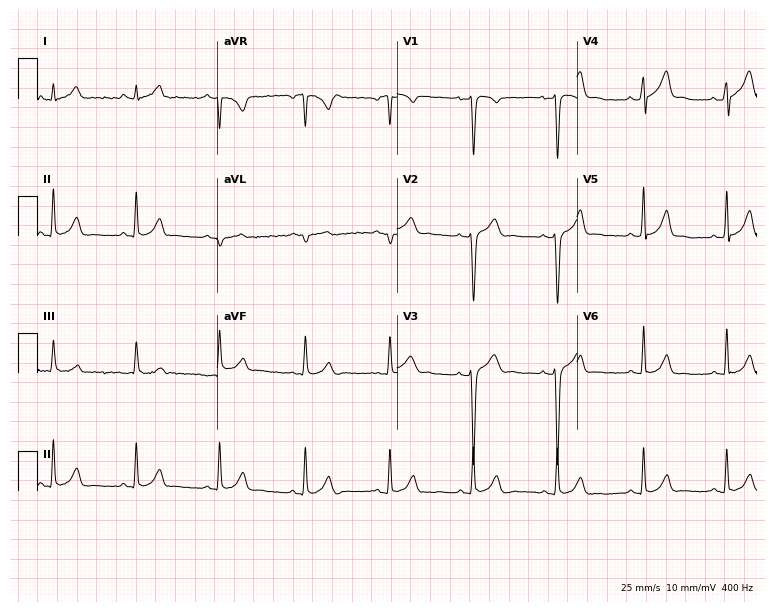
Standard 12-lead ECG recorded from a male, 27 years old. None of these six findings is recorded: first-degree AV block, right bundle branch block (RBBB), left bundle branch block (LBBB), sinus bradycardia, atrial fibrillation (AF), sinus tachycardia. Findings outside these six are not listed.